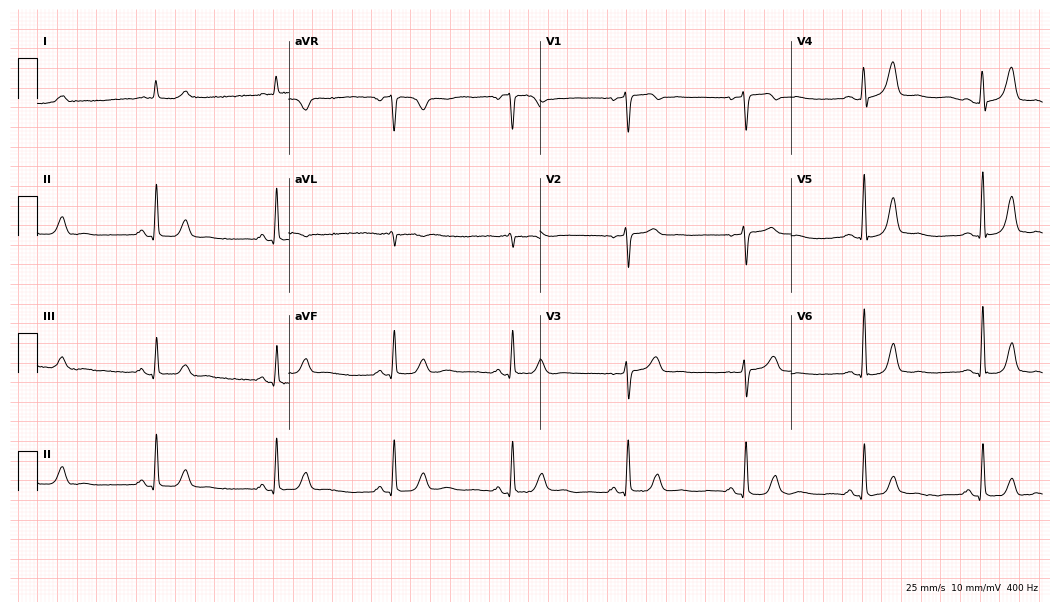
Standard 12-lead ECG recorded from a woman, 73 years old. The tracing shows sinus bradycardia (a sinus rate of 50 beats per minute or less).